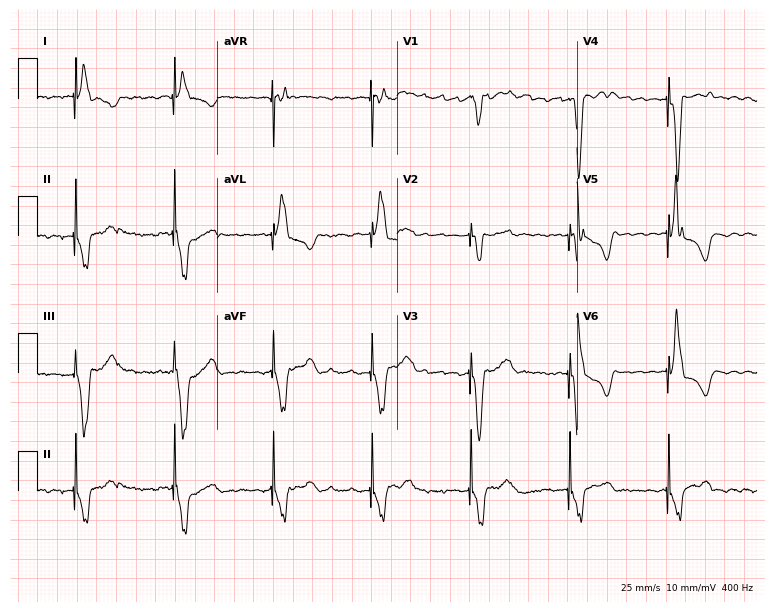
Electrocardiogram, a 76-year-old male. Of the six screened findings (first-degree AV block, right bundle branch block, left bundle branch block, sinus bradycardia, atrial fibrillation, sinus tachycardia), none is recorded. Other findings, if any, are not listed.